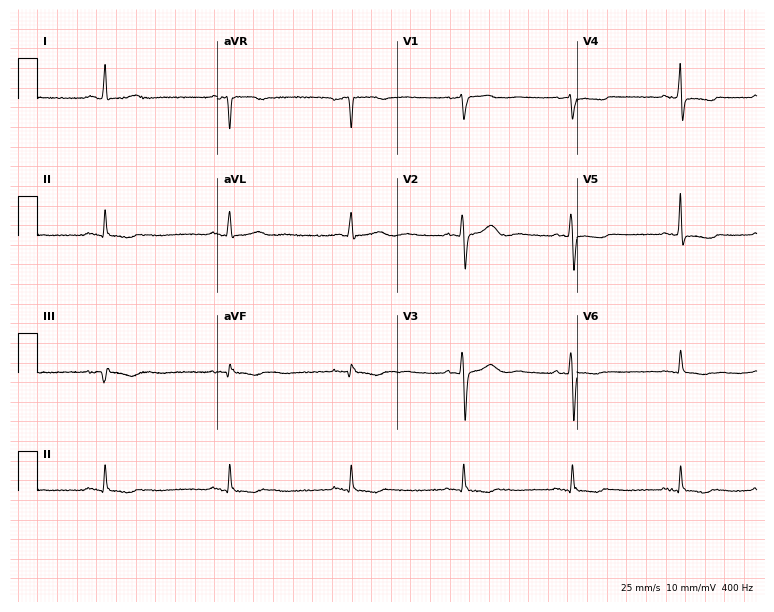
12-lead ECG (7.3-second recording at 400 Hz) from a woman, 71 years old. Screened for six findings — first-degree AV block, right bundle branch block (RBBB), left bundle branch block (LBBB), sinus bradycardia, atrial fibrillation (AF), sinus tachycardia — none is recorded.